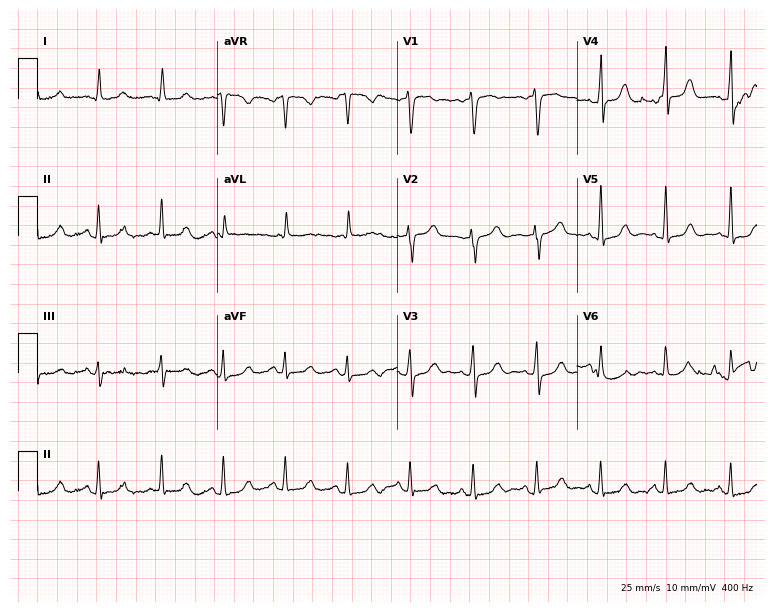
Standard 12-lead ECG recorded from a female, 76 years old (7.3-second recording at 400 Hz). Read as a normal ECG.